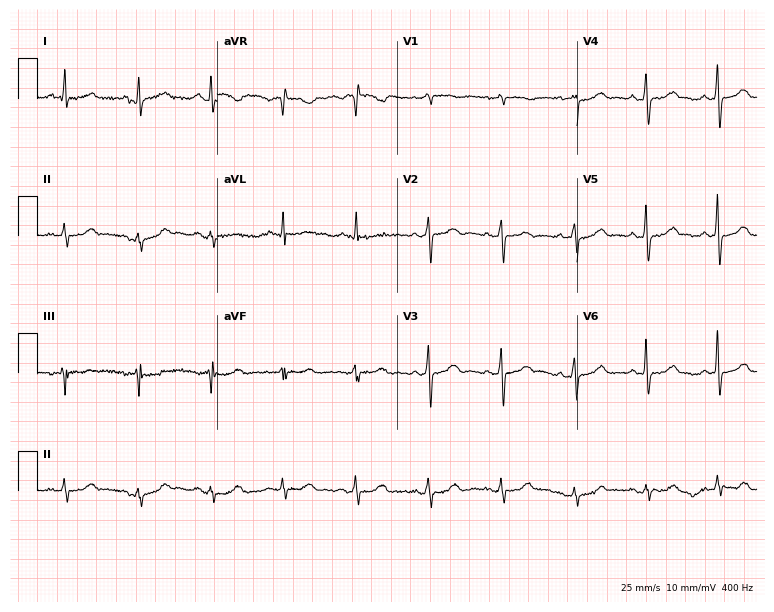
Resting 12-lead electrocardiogram. Patient: a 78-year-old female. None of these six findings is recorded: first-degree AV block, right bundle branch block, left bundle branch block, sinus bradycardia, atrial fibrillation, sinus tachycardia.